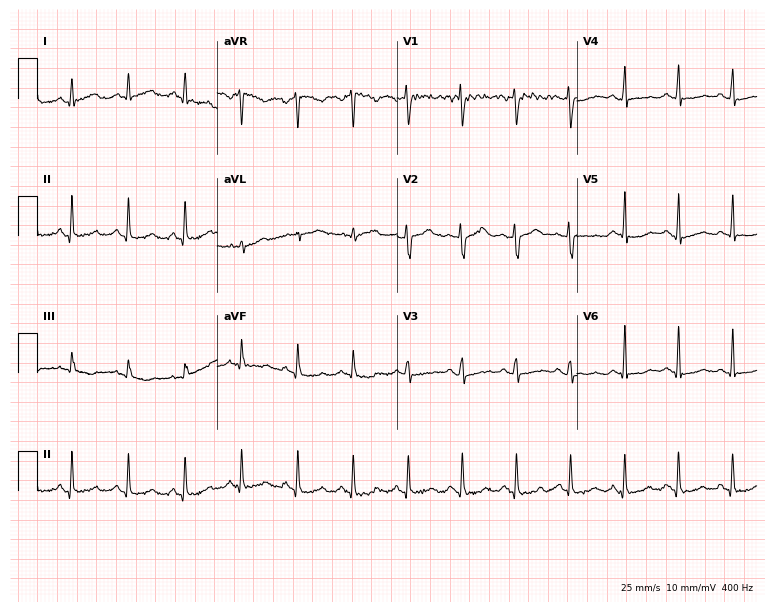
ECG (7.3-second recording at 400 Hz) — a 28-year-old female. Findings include sinus tachycardia (a sinus rate of 100 beats per minute or more).